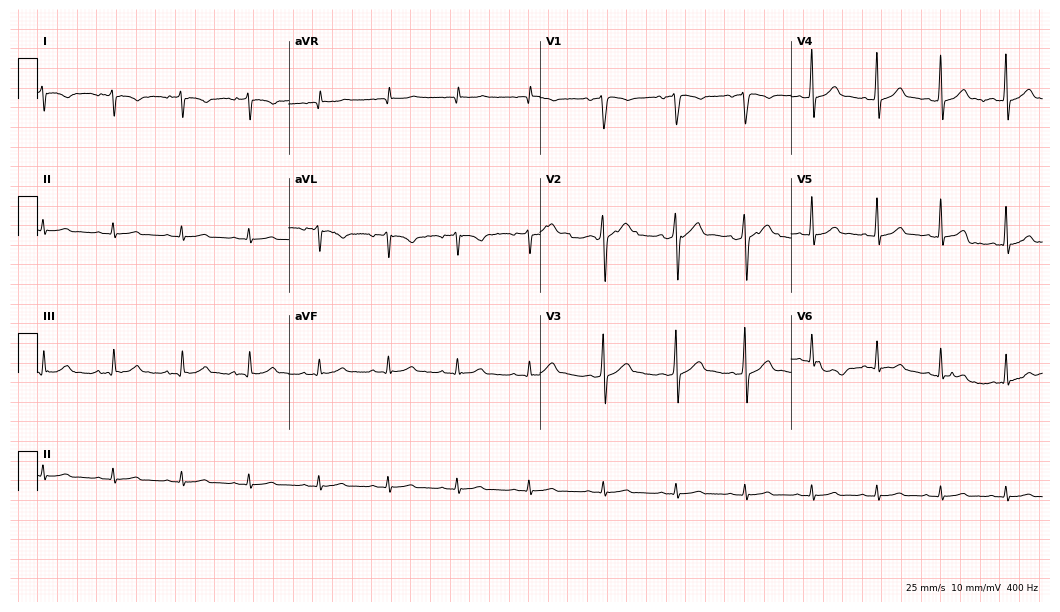
12-lead ECG from a male, 32 years old. Screened for six findings — first-degree AV block, right bundle branch block (RBBB), left bundle branch block (LBBB), sinus bradycardia, atrial fibrillation (AF), sinus tachycardia — none is recorded.